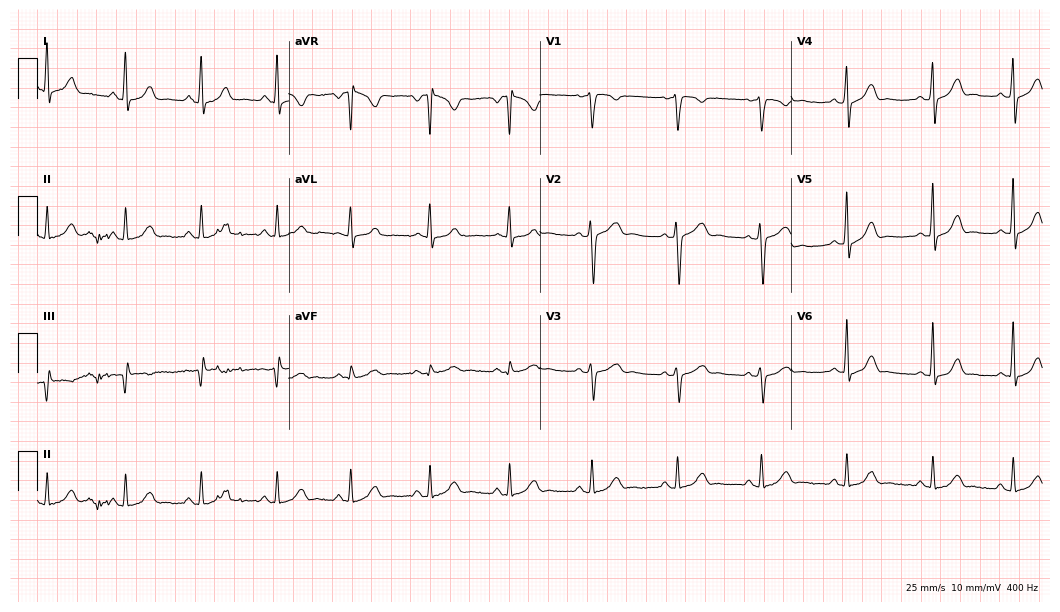
Electrocardiogram, a 21-year-old female. Overall reading on record: normal ECG.